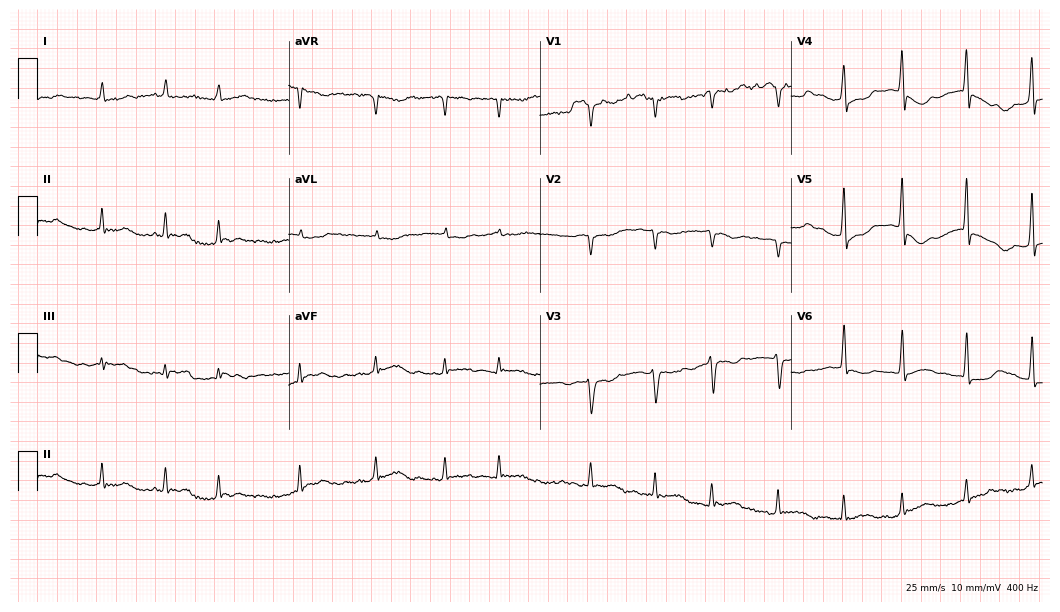
12-lead ECG from an 80-year-old male (10.2-second recording at 400 Hz). No first-degree AV block, right bundle branch block, left bundle branch block, sinus bradycardia, atrial fibrillation or sinus tachycardia recorded for this tracing. Other findings, if any, are not listed.